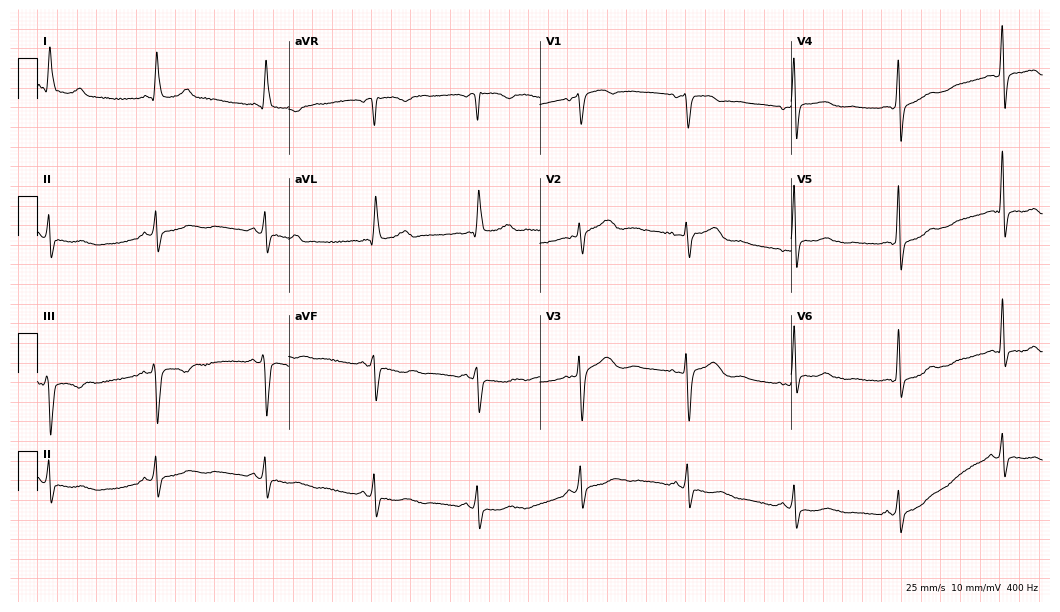
Electrocardiogram, a 71-year-old female. Of the six screened findings (first-degree AV block, right bundle branch block (RBBB), left bundle branch block (LBBB), sinus bradycardia, atrial fibrillation (AF), sinus tachycardia), none is recorded. Only these six findings were labelled.